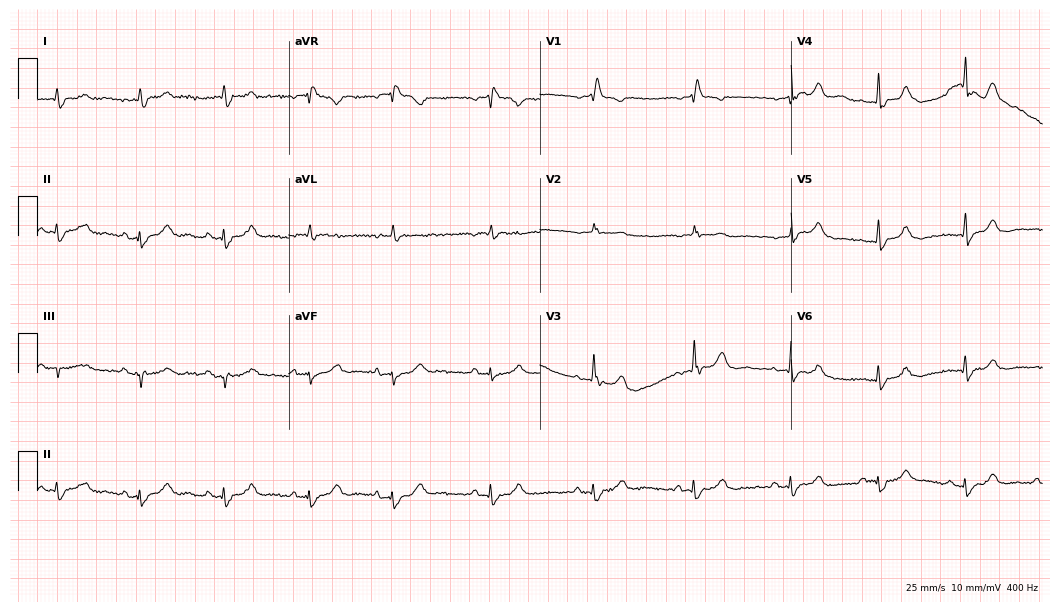
Resting 12-lead electrocardiogram (10.2-second recording at 400 Hz). Patient: a man, 76 years old. The tracing shows right bundle branch block.